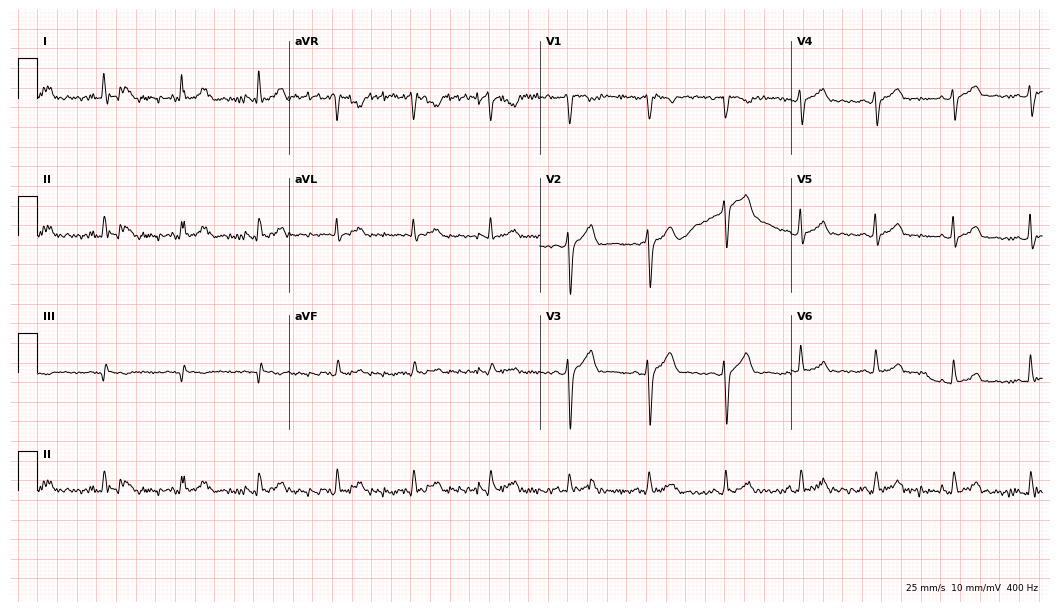
12-lead ECG (10.2-second recording at 400 Hz) from a 42-year-old male. Screened for six findings — first-degree AV block, right bundle branch block, left bundle branch block, sinus bradycardia, atrial fibrillation, sinus tachycardia — none is recorded. Other findings, if any, are not listed.